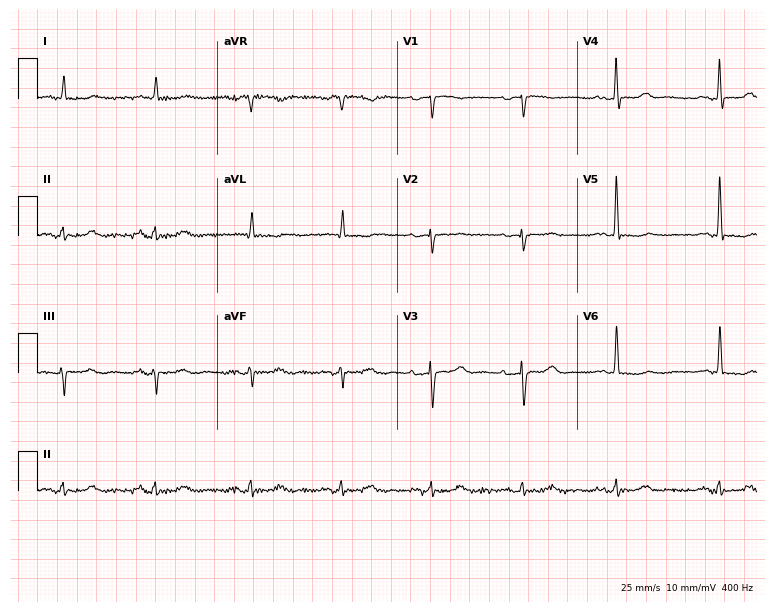
ECG — a female, 73 years old. Screened for six findings — first-degree AV block, right bundle branch block, left bundle branch block, sinus bradycardia, atrial fibrillation, sinus tachycardia — none is recorded.